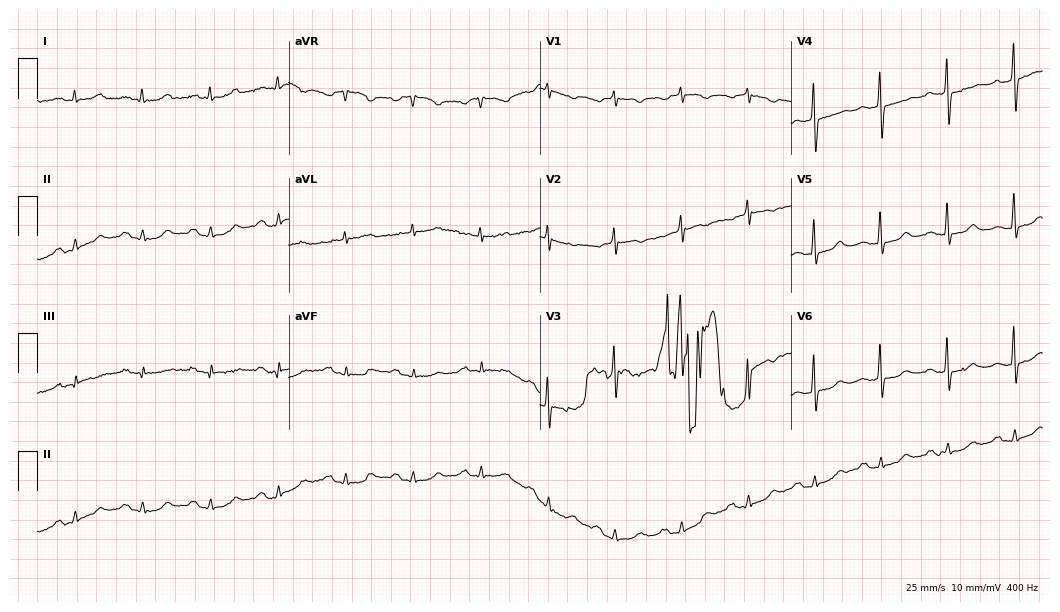
Standard 12-lead ECG recorded from a female patient, 70 years old. None of these six findings is recorded: first-degree AV block, right bundle branch block, left bundle branch block, sinus bradycardia, atrial fibrillation, sinus tachycardia. Findings outside these six are not listed.